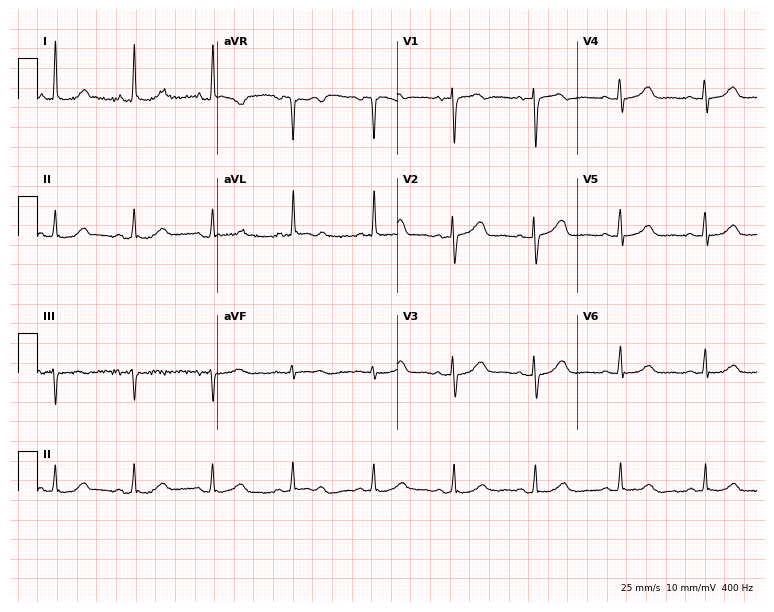
12-lead ECG from a 57-year-old female patient. Labelled as a normal ECG.